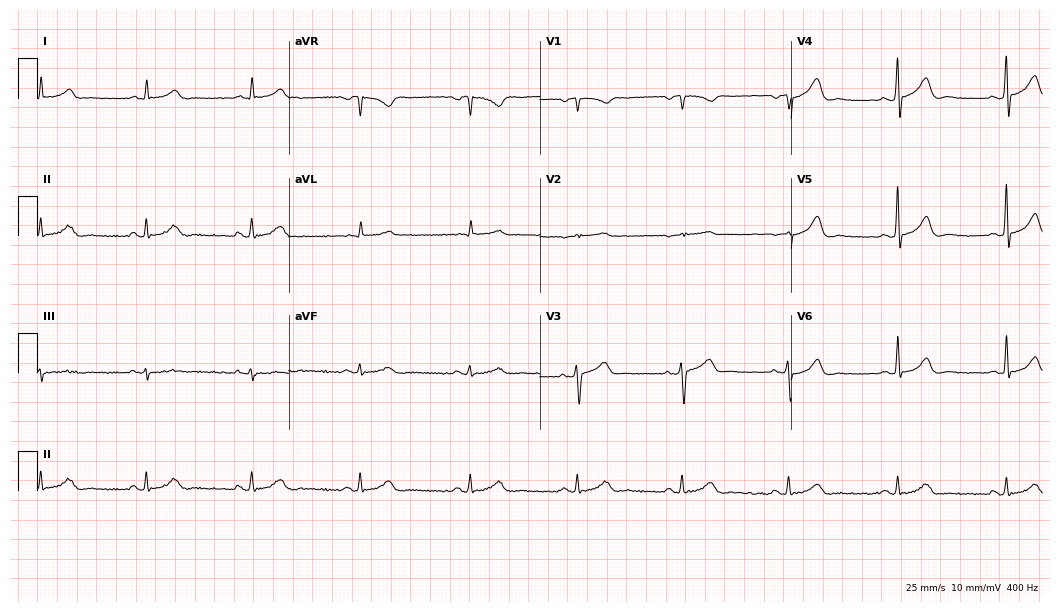
Electrocardiogram (10.2-second recording at 400 Hz), a male, 49 years old. Overall reading on record: normal ECG.